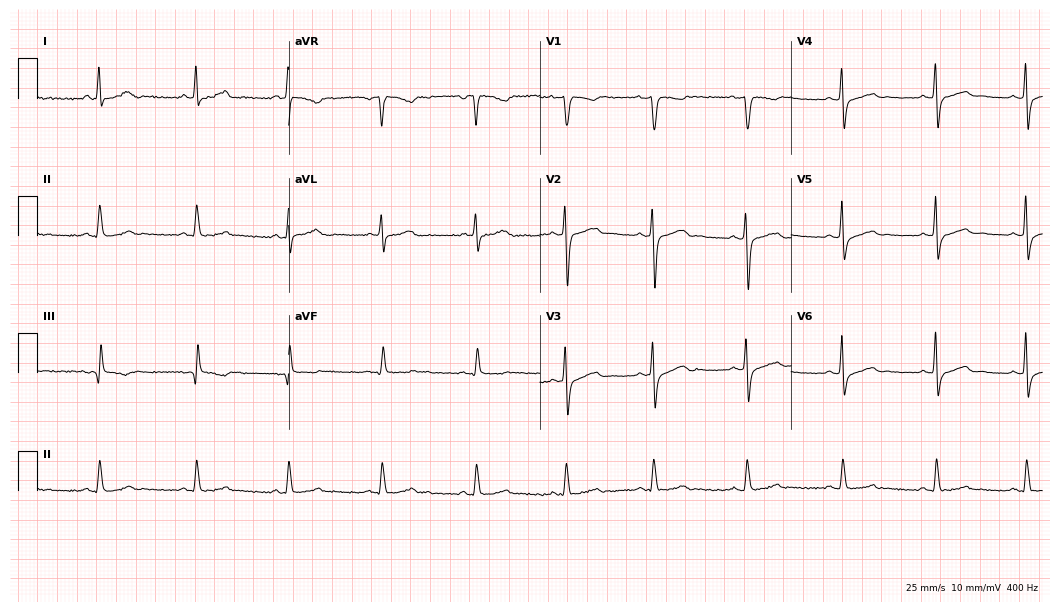
12-lead ECG from a man, 32 years old (10.2-second recording at 400 Hz). No first-degree AV block, right bundle branch block (RBBB), left bundle branch block (LBBB), sinus bradycardia, atrial fibrillation (AF) or sinus tachycardia recorded for this tracing.